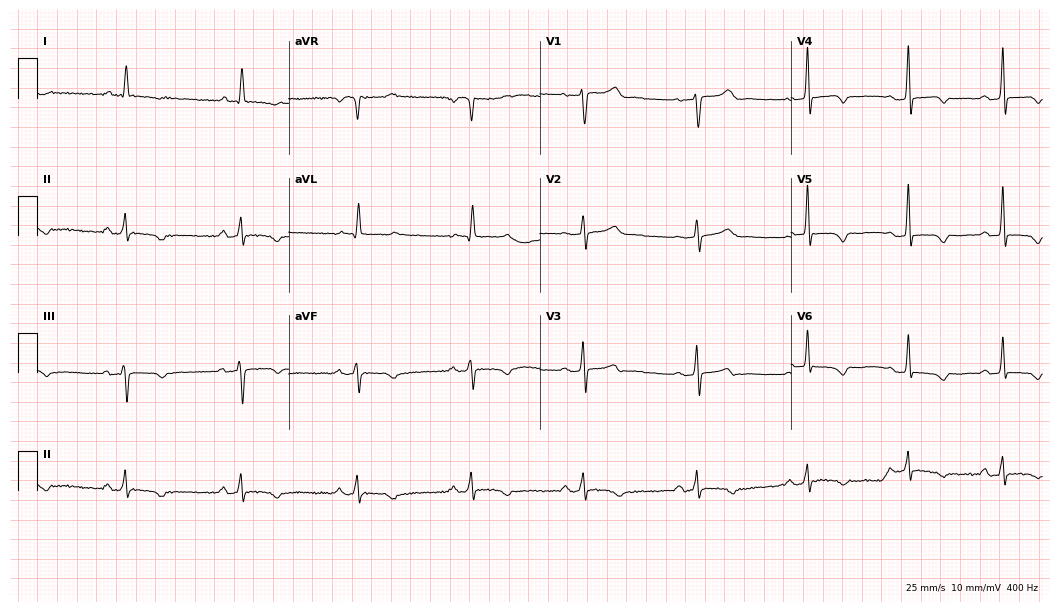
Electrocardiogram (10.2-second recording at 400 Hz), a 64-year-old female patient. Of the six screened findings (first-degree AV block, right bundle branch block (RBBB), left bundle branch block (LBBB), sinus bradycardia, atrial fibrillation (AF), sinus tachycardia), none is recorded.